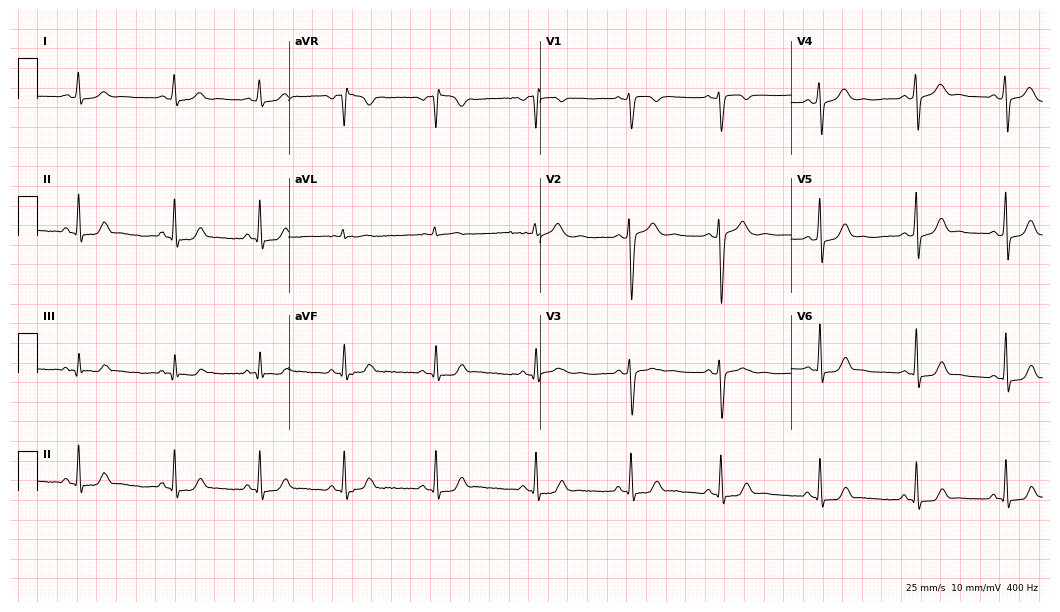
12-lead ECG from a woman, 17 years old. Recorded interpretation: within normal limits.